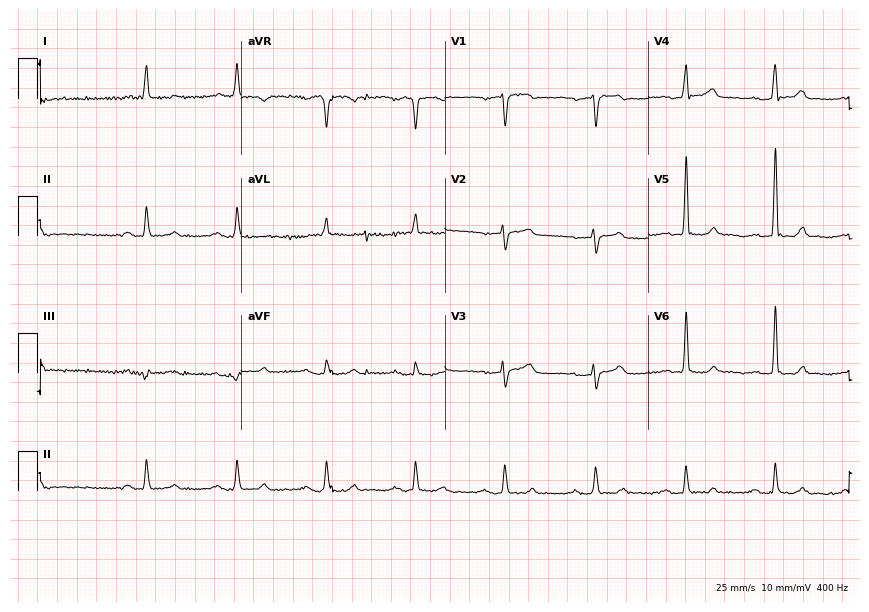
Standard 12-lead ECG recorded from an 84-year-old female patient (8.3-second recording at 400 Hz). None of these six findings is recorded: first-degree AV block, right bundle branch block, left bundle branch block, sinus bradycardia, atrial fibrillation, sinus tachycardia.